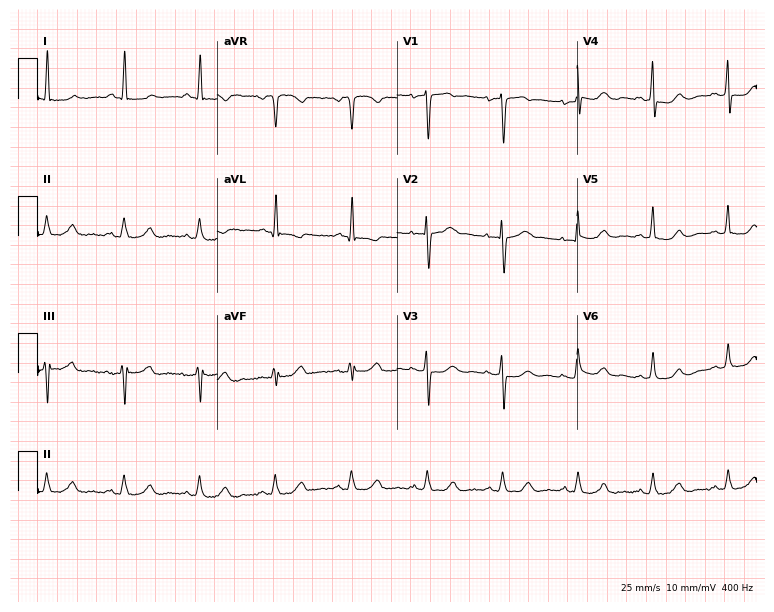
Standard 12-lead ECG recorded from a 70-year-old woman. None of these six findings is recorded: first-degree AV block, right bundle branch block, left bundle branch block, sinus bradycardia, atrial fibrillation, sinus tachycardia. Only these six findings were labelled.